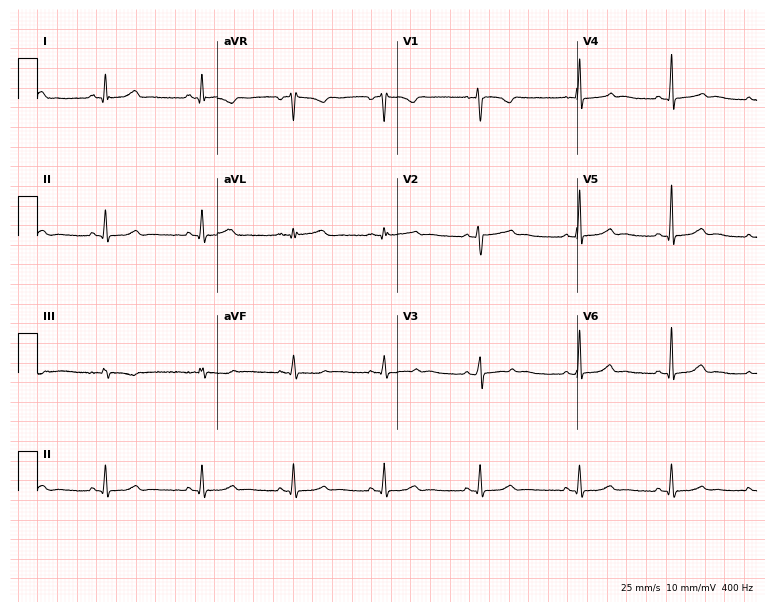
Electrocardiogram, a female, 32 years old. Overall reading on record: normal ECG.